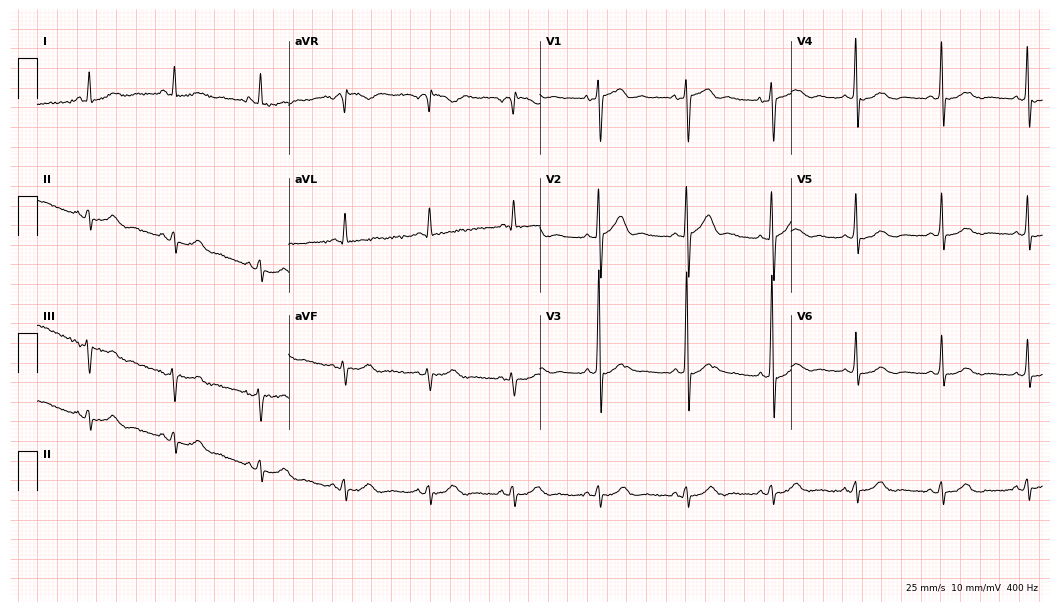
12-lead ECG from a male, 69 years old. No first-degree AV block, right bundle branch block, left bundle branch block, sinus bradycardia, atrial fibrillation or sinus tachycardia recorded for this tracing.